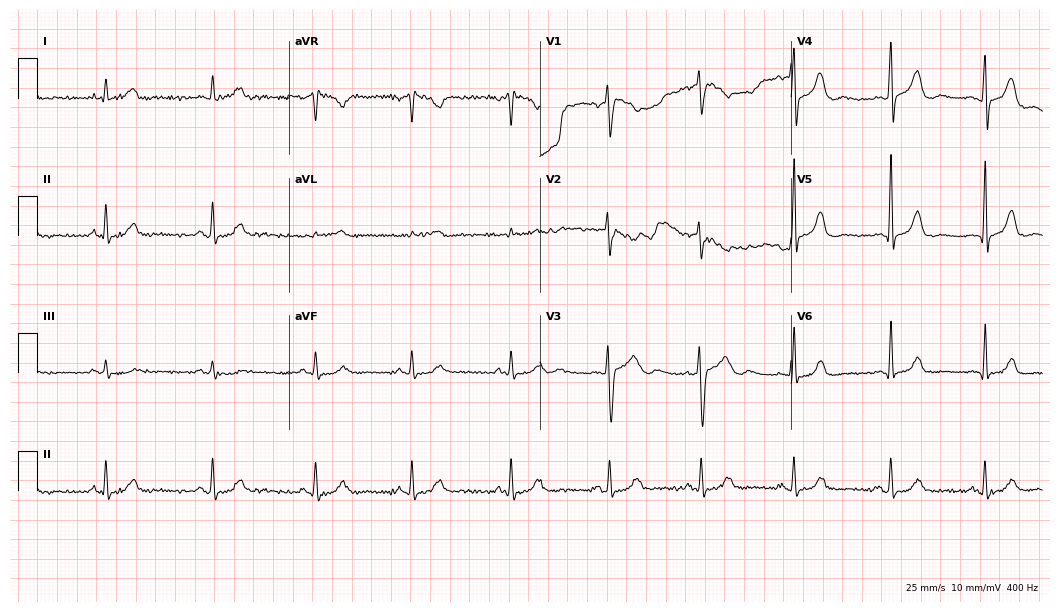
12-lead ECG from a 35-year-old male patient. No first-degree AV block, right bundle branch block, left bundle branch block, sinus bradycardia, atrial fibrillation or sinus tachycardia recorded for this tracing. Other findings, if any, are not listed.